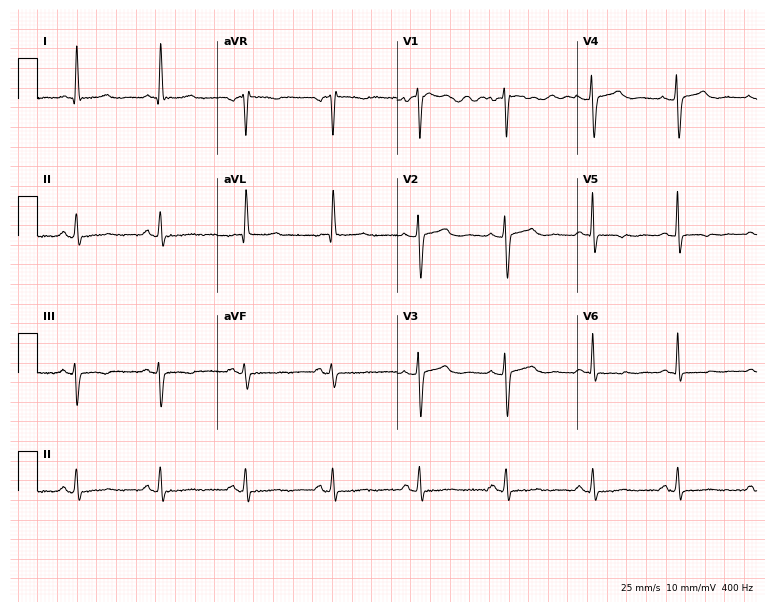
Electrocardiogram (7.3-second recording at 400 Hz), a 67-year-old woman. Of the six screened findings (first-degree AV block, right bundle branch block, left bundle branch block, sinus bradycardia, atrial fibrillation, sinus tachycardia), none is recorded. Findings outside these six are not listed.